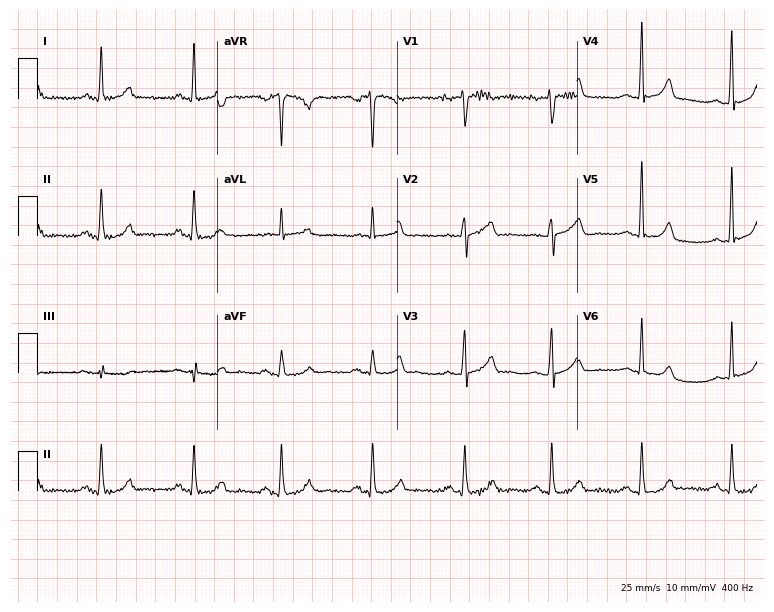
12-lead ECG from a 54-year-old woman (7.3-second recording at 400 Hz). No first-degree AV block, right bundle branch block, left bundle branch block, sinus bradycardia, atrial fibrillation or sinus tachycardia recorded for this tracing. Findings outside these six are not listed.